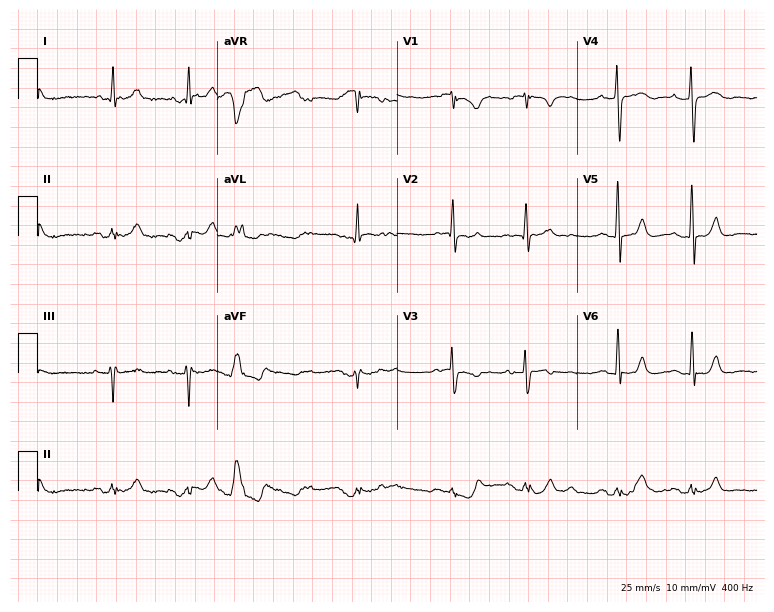
Electrocardiogram, a man, 82 years old. Of the six screened findings (first-degree AV block, right bundle branch block, left bundle branch block, sinus bradycardia, atrial fibrillation, sinus tachycardia), none is recorded.